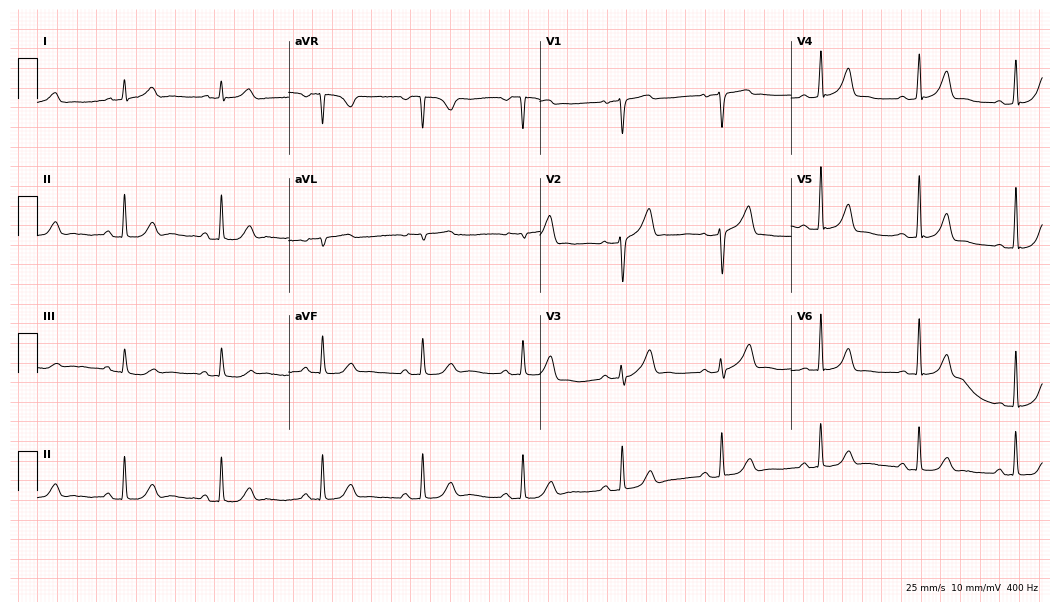
Standard 12-lead ECG recorded from a male, 71 years old. Read as a normal ECG.